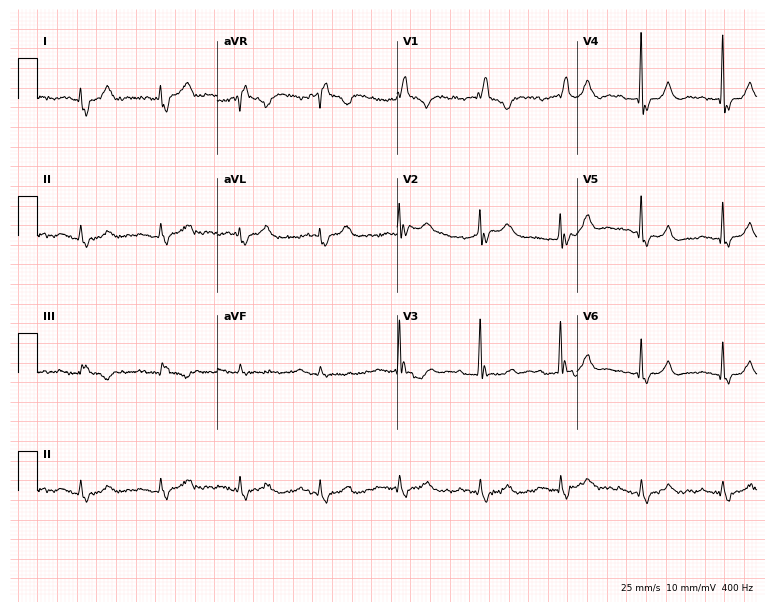
Electrocardiogram (7.3-second recording at 400 Hz), a 76-year-old man. Interpretation includes right bundle branch block.